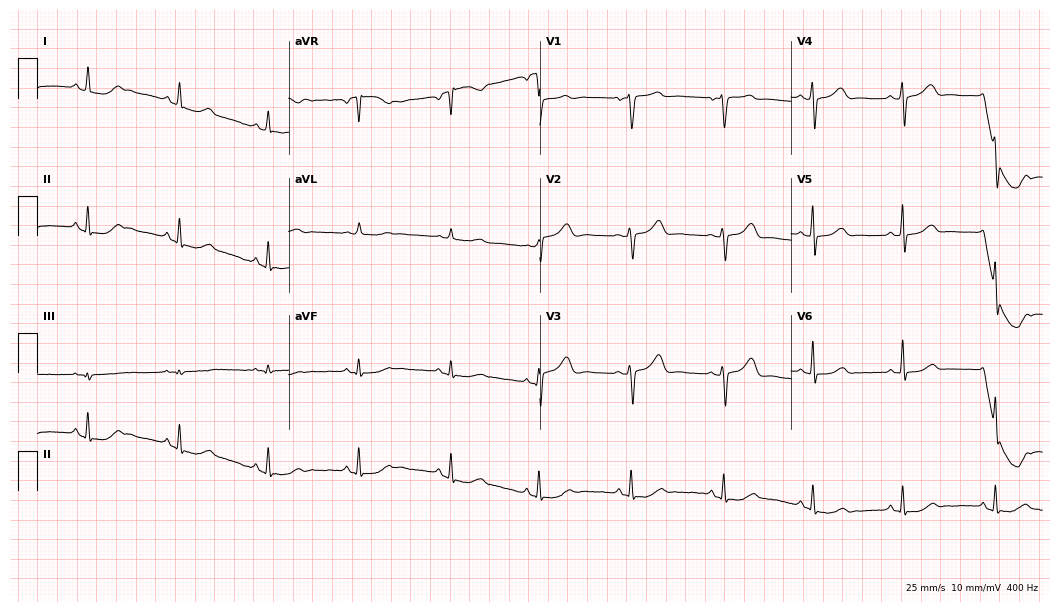
12-lead ECG from a woman, 49 years old (10.2-second recording at 400 Hz). No first-degree AV block, right bundle branch block, left bundle branch block, sinus bradycardia, atrial fibrillation or sinus tachycardia recorded for this tracing.